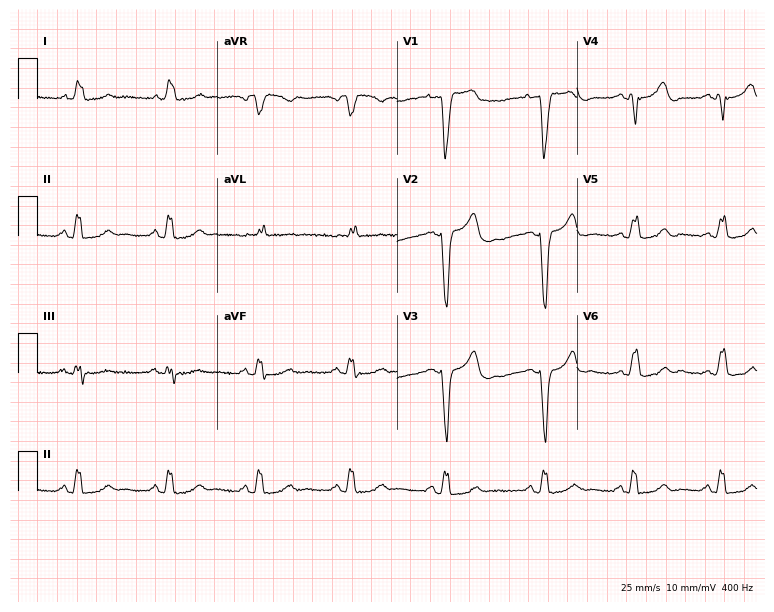
ECG — a female patient, 37 years old. Findings include left bundle branch block (LBBB).